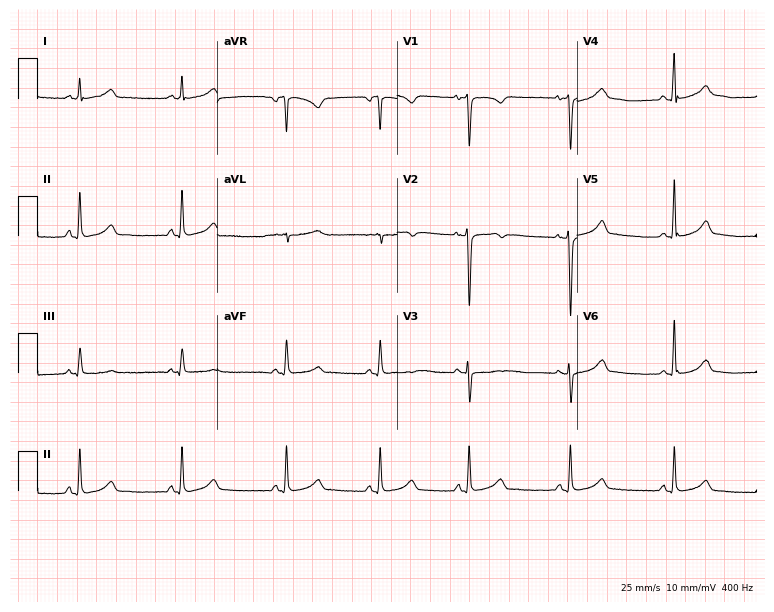
Resting 12-lead electrocardiogram. Patient: a female, 22 years old. Read as a normal ECG.